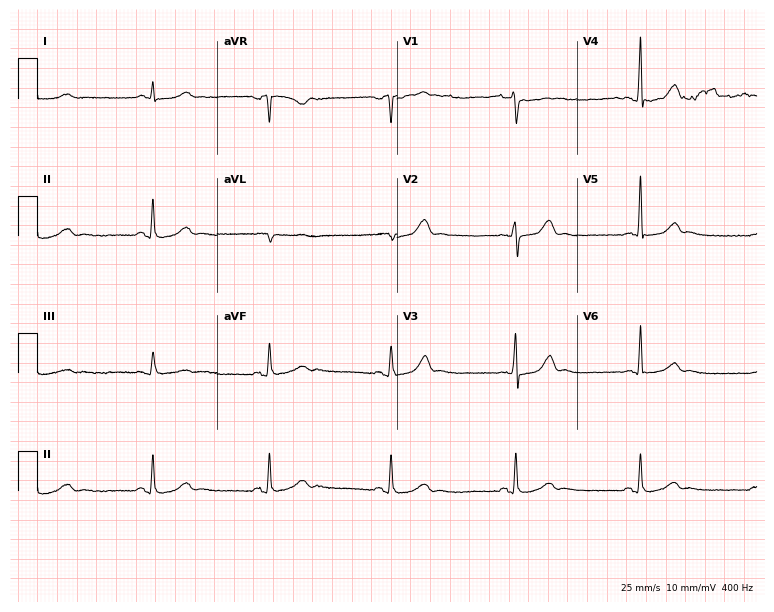
12-lead ECG (7.3-second recording at 400 Hz) from a female patient, 29 years old. Findings include sinus bradycardia (a sinus rate of 50 beats per minute or less).